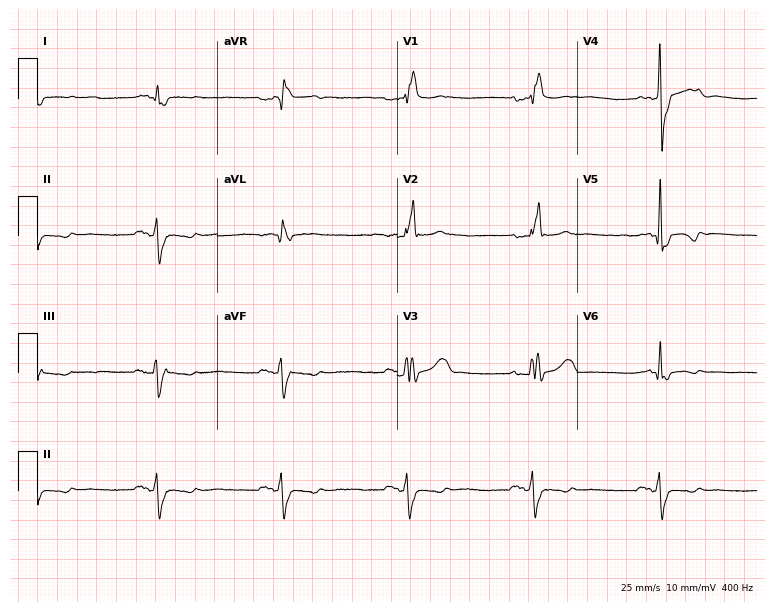
Resting 12-lead electrocardiogram (7.3-second recording at 400 Hz). Patient: a 72-year-old man. The tracing shows right bundle branch block, sinus bradycardia (a sinus rate of 50 beats per minute or less).